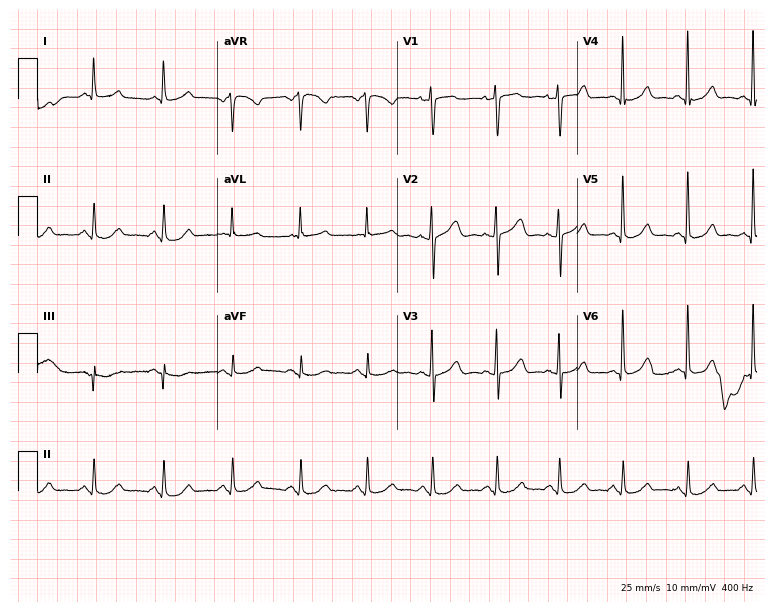
Resting 12-lead electrocardiogram. Patient: a 59-year-old female. None of these six findings is recorded: first-degree AV block, right bundle branch block, left bundle branch block, sinus bradycardia, atrial fibrillation, sinus tachycardia.